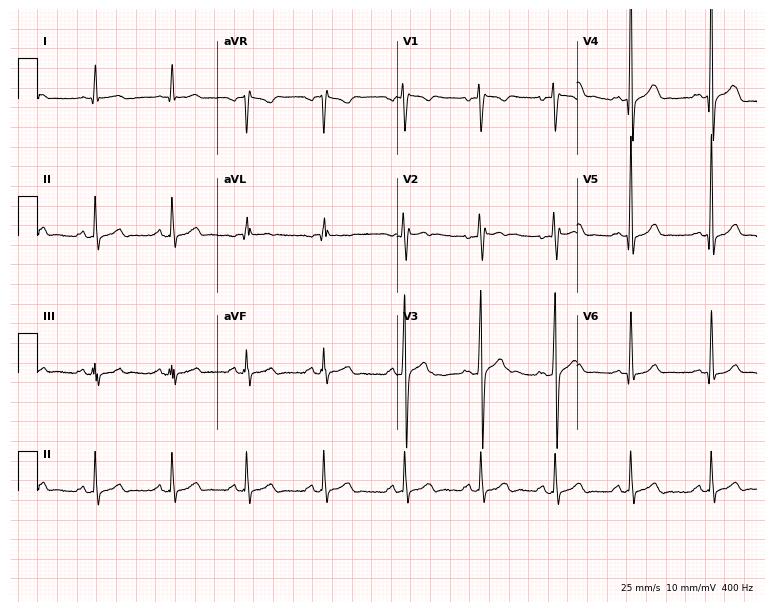
Resting 12-lead electrocardiogram. Patient: a male, 26 years old. Read as a normal ECG.